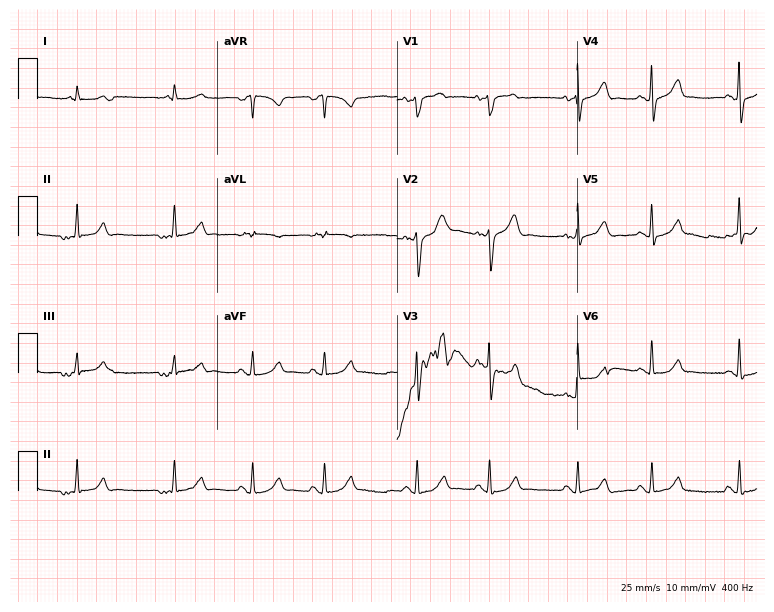
12-lead ECG (7.3-second recording at 400 Hz) from a 77-year-old male. Screened for six findings — first-degree AV block, right bundle branch block, left bundle branch block, sinus bradycardia, atrial fibrillation, sinus tachycardia — none is recorded.